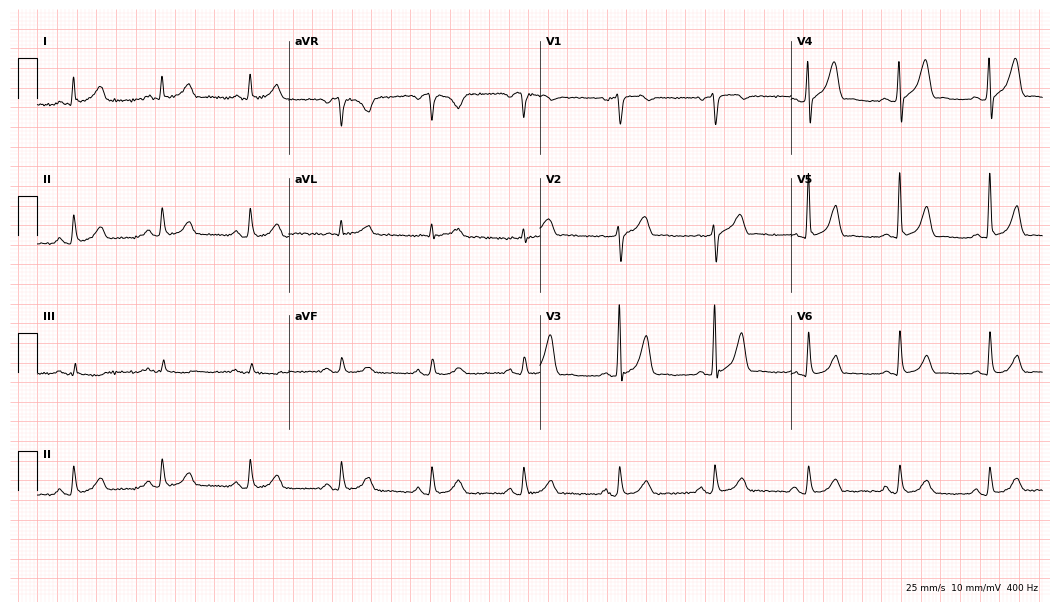
12-lead ECG from a 60-year-old man. Recorded interpretation: within normal limits.